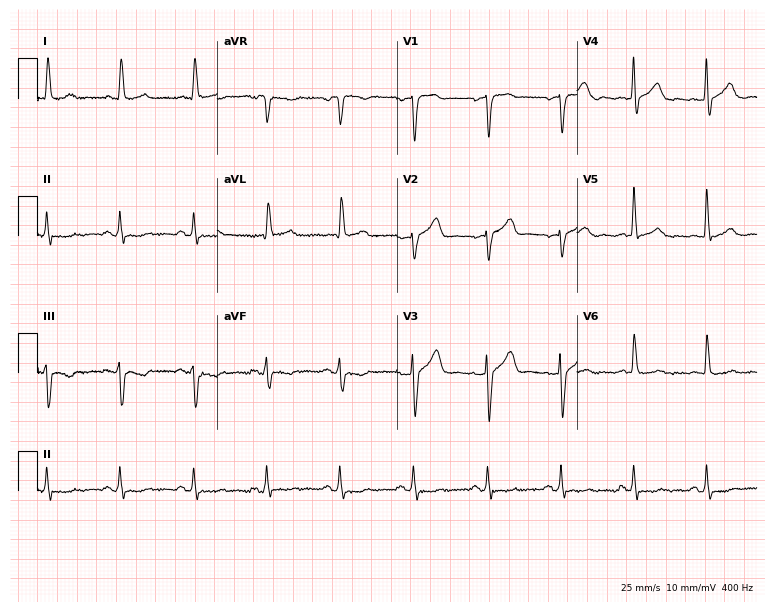
ECG (7.3-second recording at 400 Hz) — a 73-year-old man. Screened for six findings — first-degree AV block, right bundle branch block, left bundle branch block, sinus bradycardia, atrial fibrillation, sinus tachycardia — none is recorded.